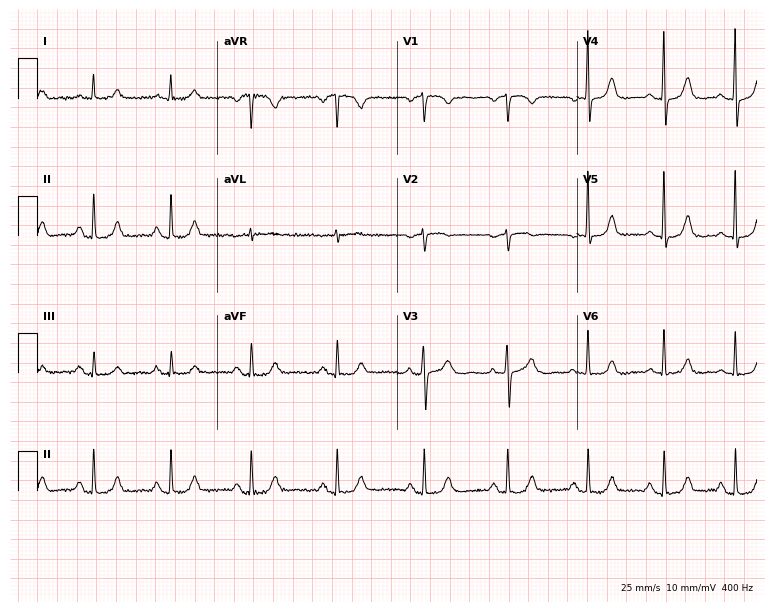
Electrocardiogram, a female, 64 years old. Of the six screened findings (first-degree AV block, right bundle branch block, left bundle branch block, sinus bradycardia, atrial fibrillation, sinus tachycardia), none is recorded.